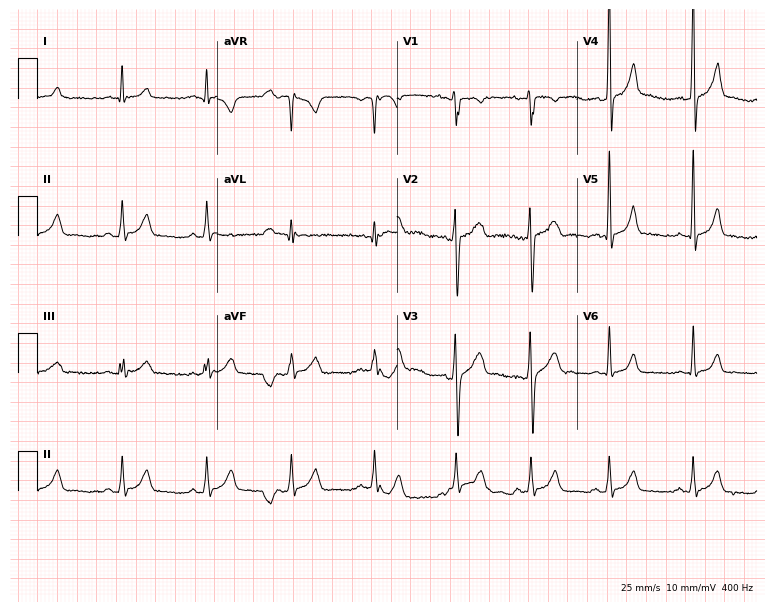
Standard 12-lead ECG recorded from a man, 17 years old (7.3-second recording at 400 Hz). Read as a normal ECG.